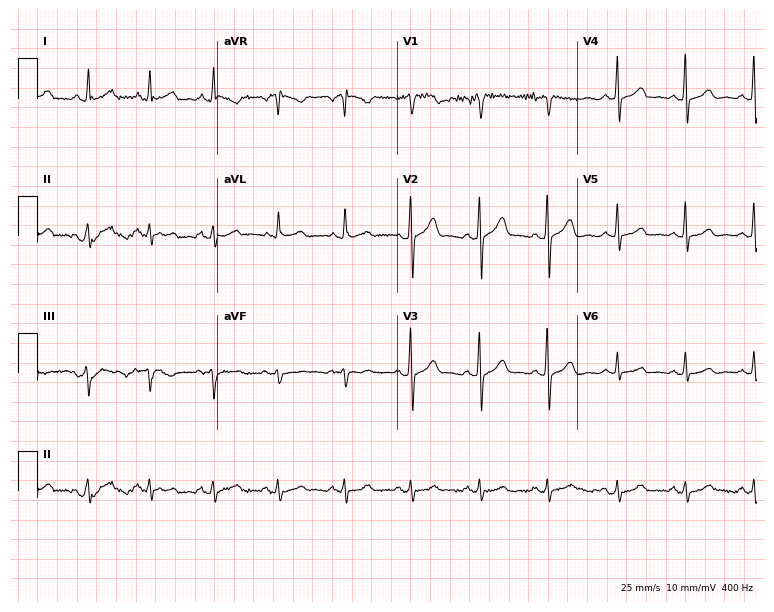
Resting 12-lead electrocardiogram. Patient: a male, 36 years old. Read as a normal ECG.